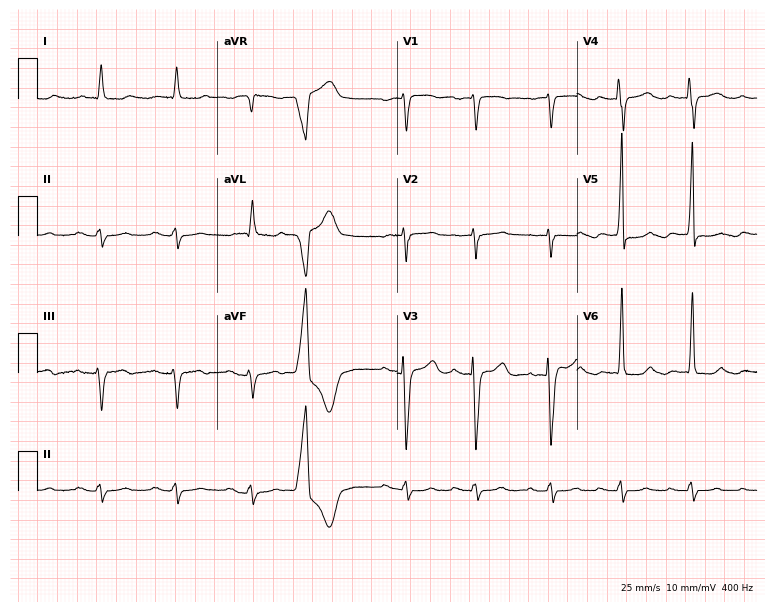
ECG — a man, 71 years old. Screened for six findings — first-degree AV block, right bundle branch block, left bundle branch block, sinus bradycardia, atrial fibrillation, sinus tachycardia — none is recorded. Findings outside these six are not listed.